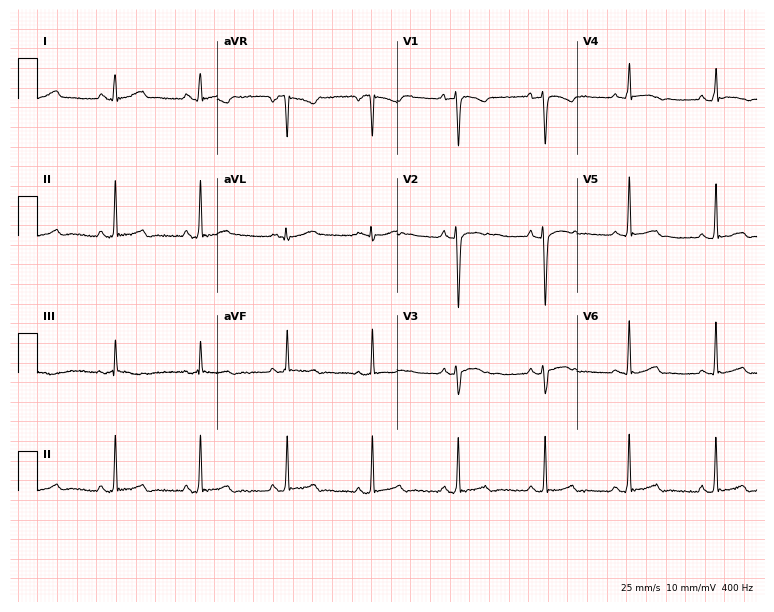
12-lead ECG (7.3-second recording at 400 Hz) from a woman, 22 years old. Screened for six findings — first-degree AV block, right bundle branch block, left bundle branch block, sinus bradycardia, atrial fibrillation, sinus tachycardia — none is recorded. Findings outside these six are not listed.